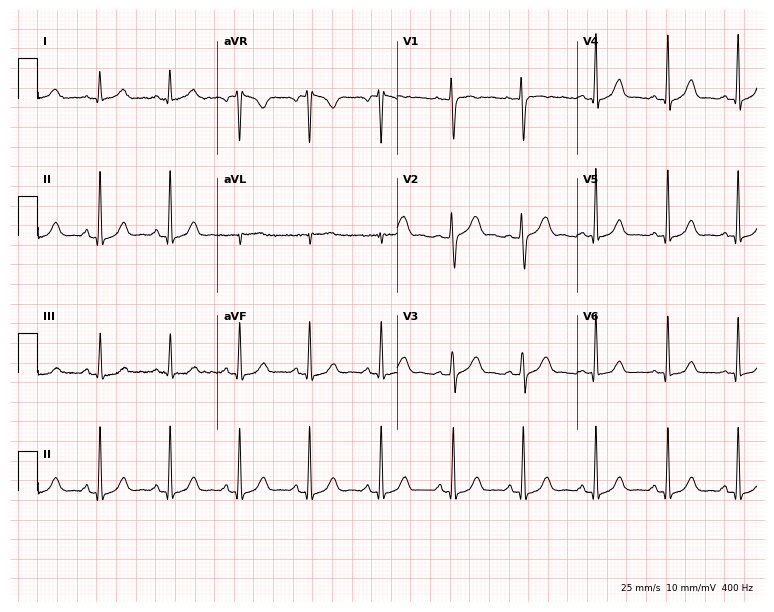
ECG (7.3-second recording at 400 Hz) — a 31-year-old female. Screened for six findings — first-degree AV block, right bundle branch block, left bundle branch block, sinus bradycardia, atrial fibrillation, sinus tachycardia — none is recorded. Only these six findings were labelled.